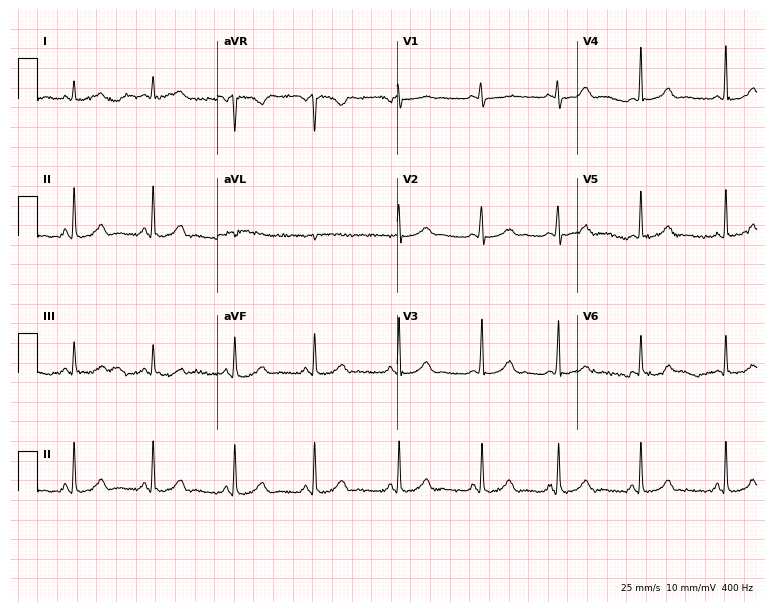
12-lead ECG from a woman, 25 years old (7.3-second recording at 400 Hz). No first-degree AV block, right bundle branch block, left bundle branch block, sinus bradycardia, atrial fibrillation or sinus tachycardia recorded for this tracing.